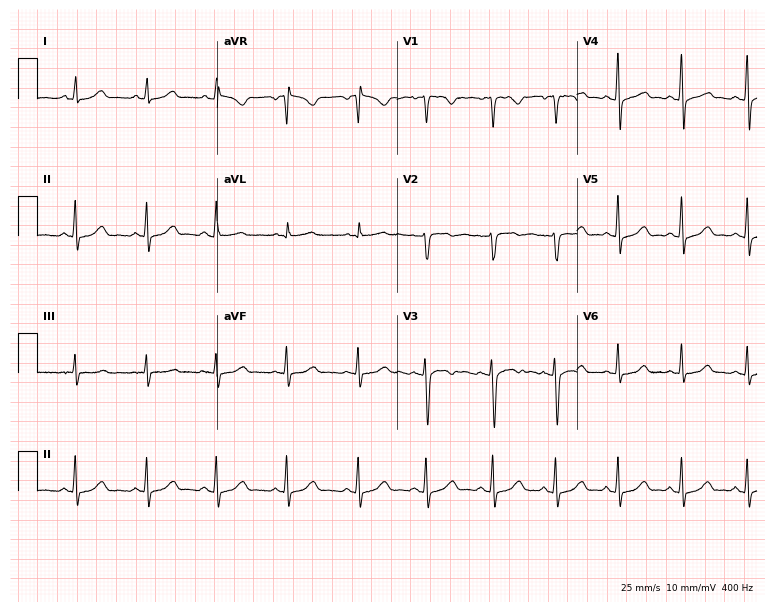
12-lead ECG (7.3-second recording at 400 Hz) from a 43-year-old woman. Labelled as a normal ECG.